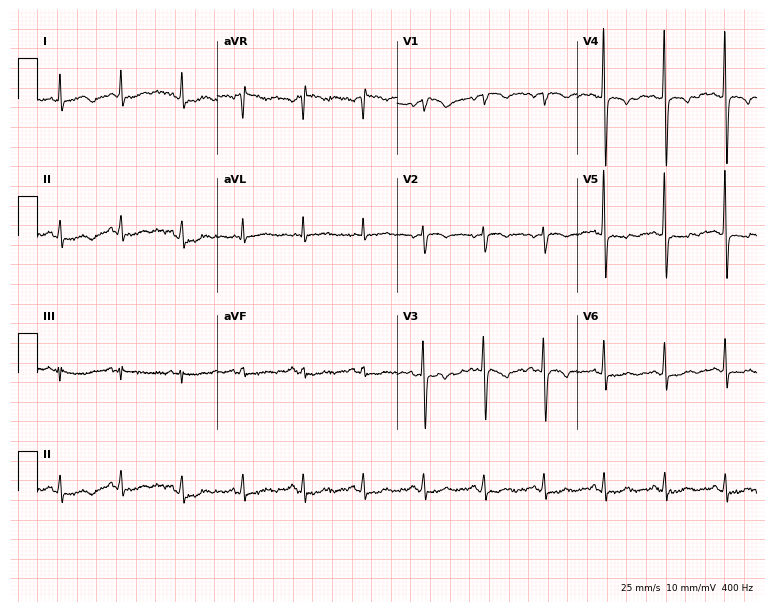
Resting 12-lead electrocardiogram. Patient: a female, 79 years old. None of these six findings is recorded: first-degree AV block, right bundle branch block (RBBB), left bundle branch block (LBBB), sinus bradycardia, atrial fibrillation (AF), sinus tachycardia.